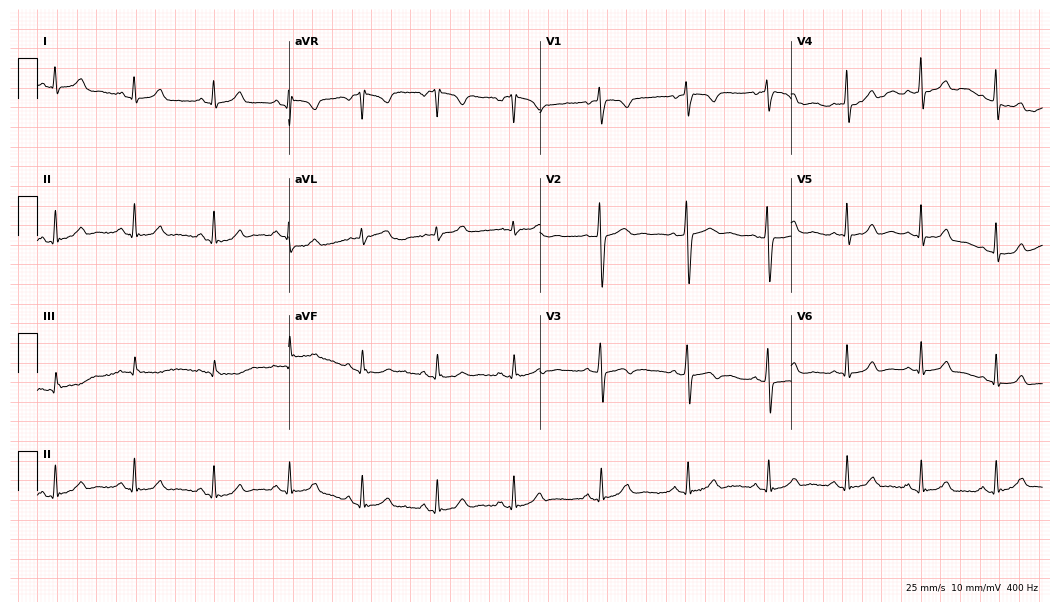
Resting 12-lead electrocardiogram. Patient: a female, 20 years old. Read as a normal ECG.